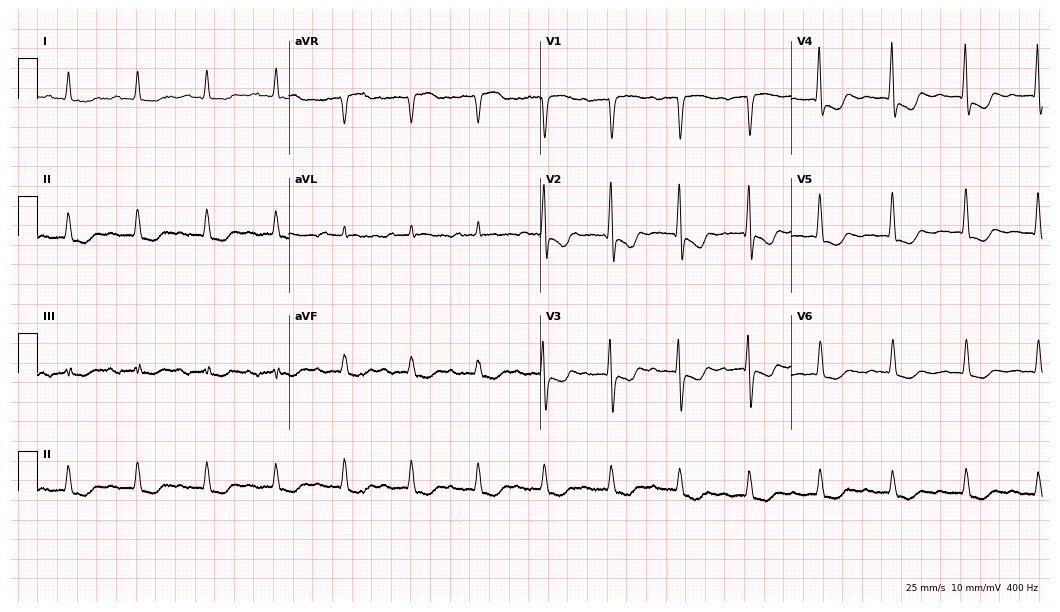
ECG — a male, 77 years old. Findings include first-degree AV block.